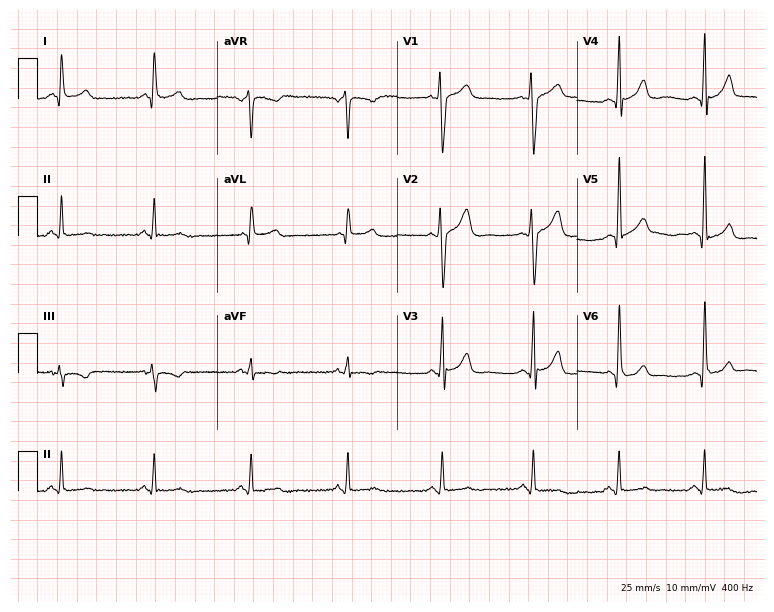
ECG — a man, 55 years old. Screened for six findings — first-degree AV block, right bundle branch block (RBBB), left bundle branch block (LBBB), sinus bradycardia, atrial fibrillation (AF), sinus tachycardia — none is recorded. Only these six findings were labelled.